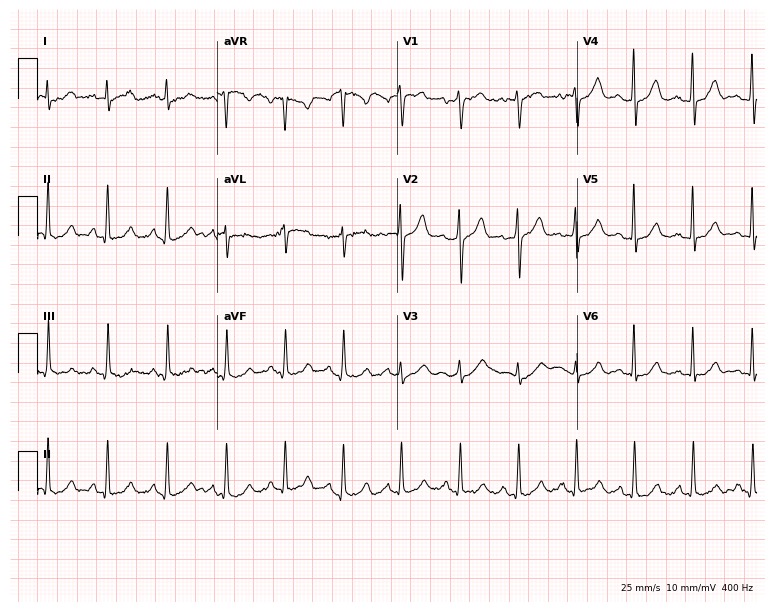
Resting 12-lead electrocardiogram (7.3-second recording at 400 Hz). Patient: a female, 36 years old. Read as a normal ECG.